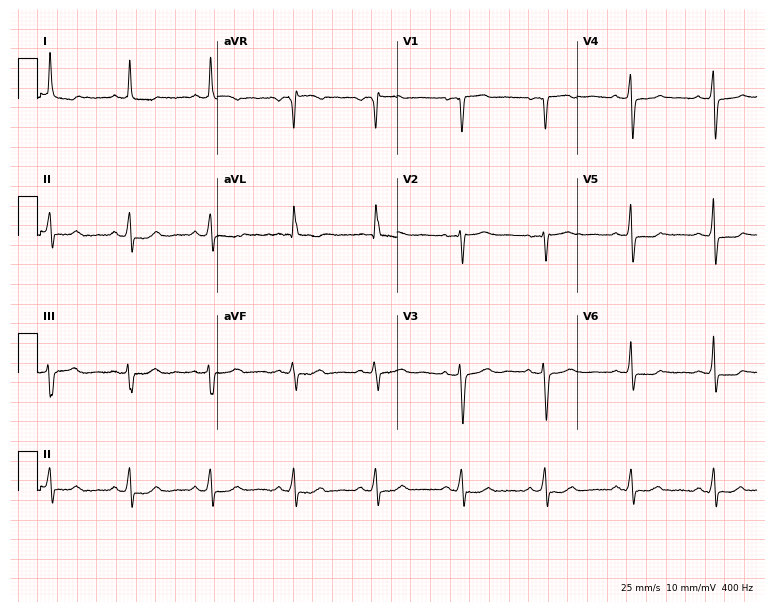
Electrocardiogram, a female patient, 55 years old. Of the six screened findings (first-degree AV block, right bundle branch block (RBBB), left bundle branch block (LBBB), sinus bradycardia, atrial fibrillation (AF), sinus tachycardia), none is recorded.